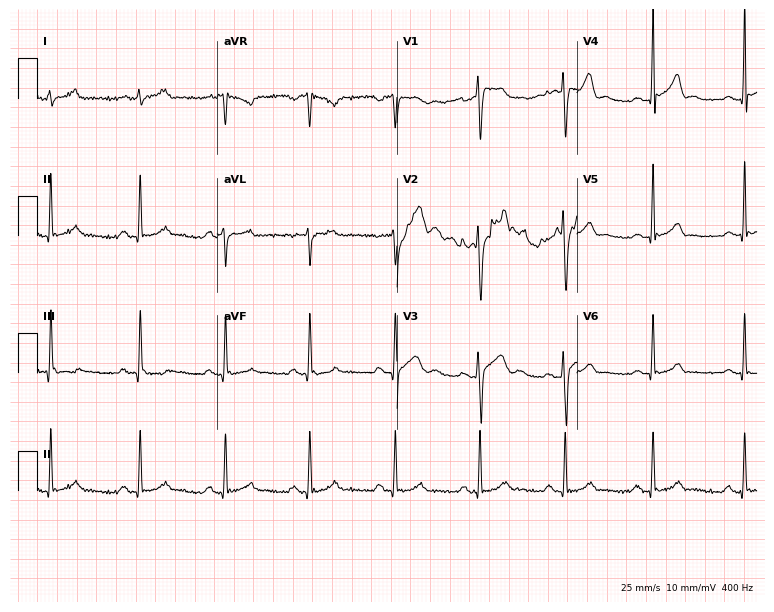
ECG — a male patient, 37 years old. Screened for six findings — first-degree AV block, right bundle branch block (RBBB), left bundle branch block (LBBB), sinus bradycardia, atrial fibrillation (AF), sinus tachycardia — none is recorded. Other findings, if any, are not listed.